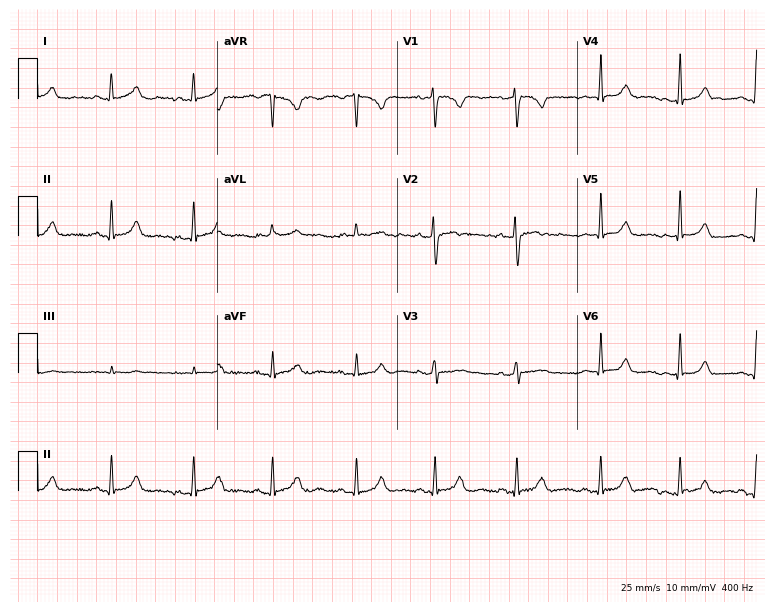
Electrocardiogram (7.3-second recording at 400 Hz), a 35-year-old woman. Overall reading on record: normal ECG.